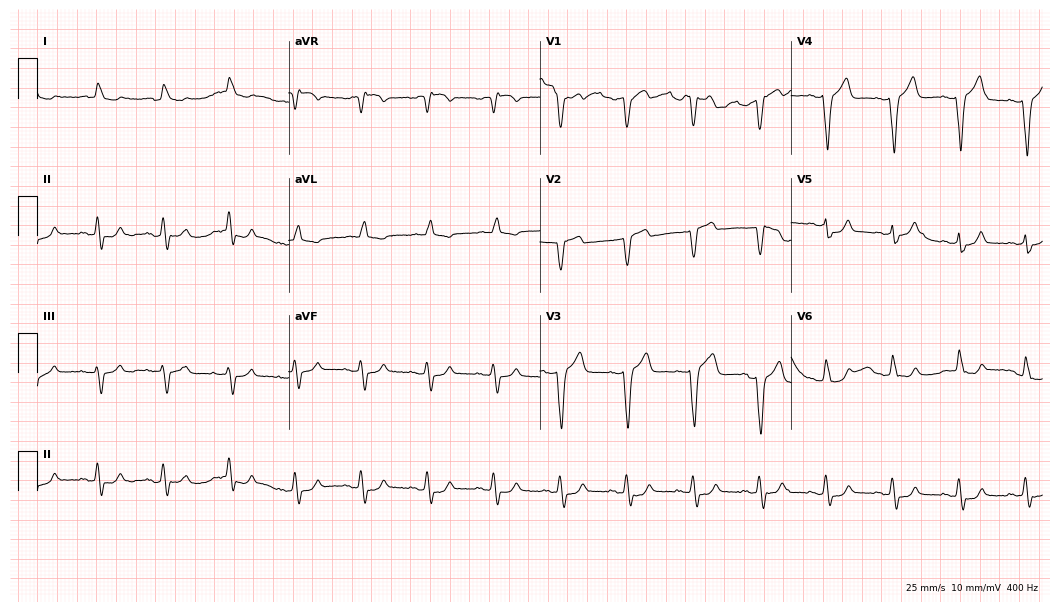
12-lead ECG from a man, 74 years old. Shows left bundle branch block.